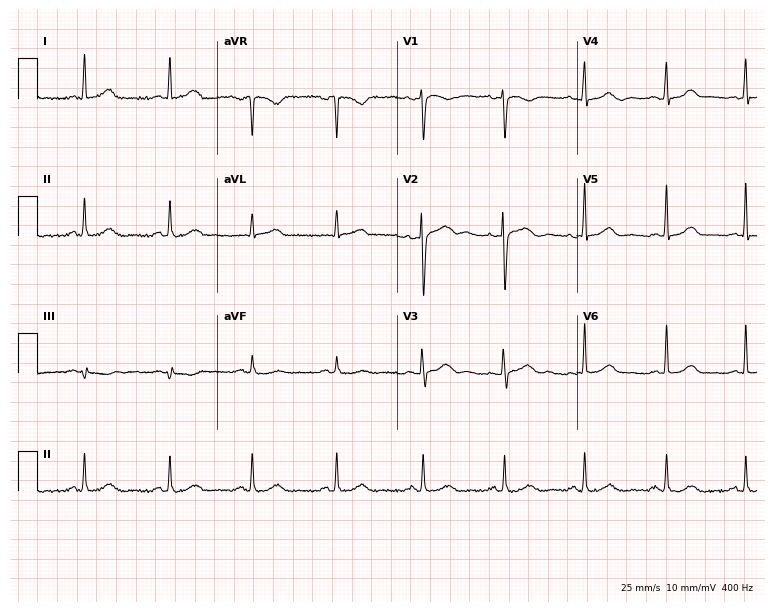
12-lead ECG from a 37-year-old female. Labelled as a normal ECG.